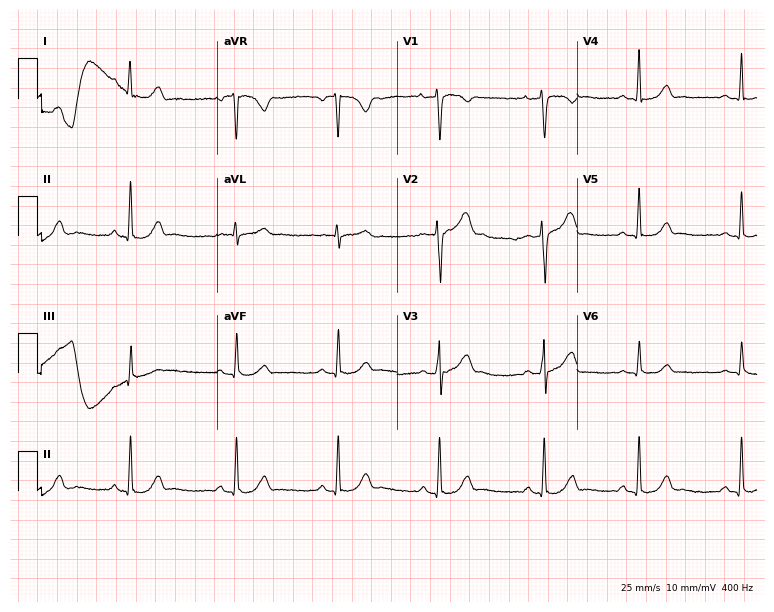
ECG (7.3-second recording at 400 Hz) — a female, 23 years old. Labelled as a normal ECG.